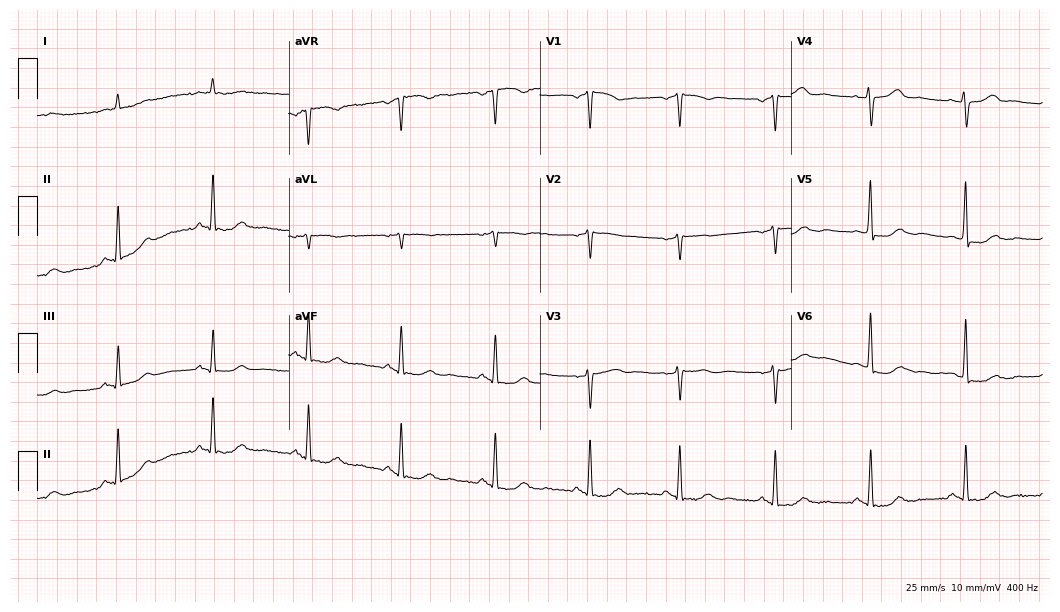
Electrocardiogram (10.2-second recording at 400 Hz), a woman, 62 years old. Of the six screened findings (first-degree AV block, right bundle branch block, left bundle branch block, sinus bradycardia, atrial fibrillation, sinus tachycardia), none is recorded.